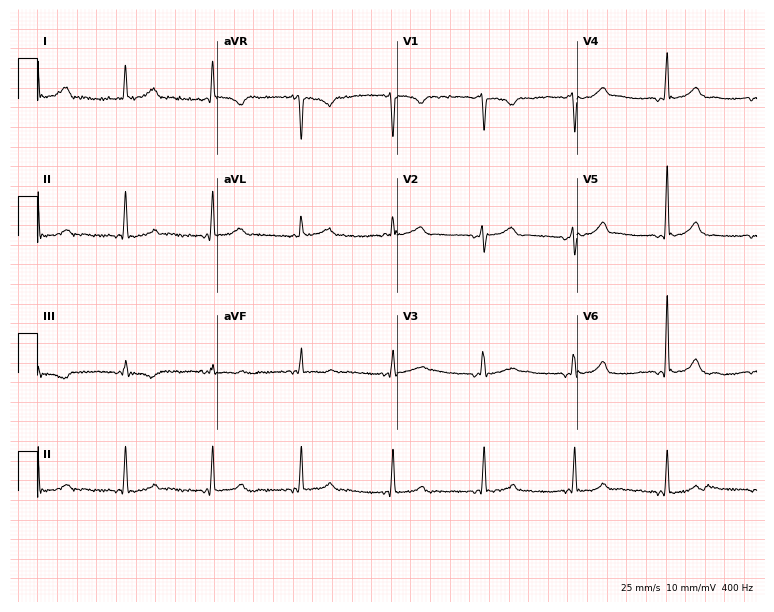
Resting 12-lead electrocardiogram (7.3-second recording at 400 Hz). Patient: a 32-year-old woman. None of these six findings is recorded: first-degree AV block, right bundle branch block, left bundle branch block, sinus bradycardia, atrial fibrillation, sinus tachycardia. Findings outside these six are not listed.